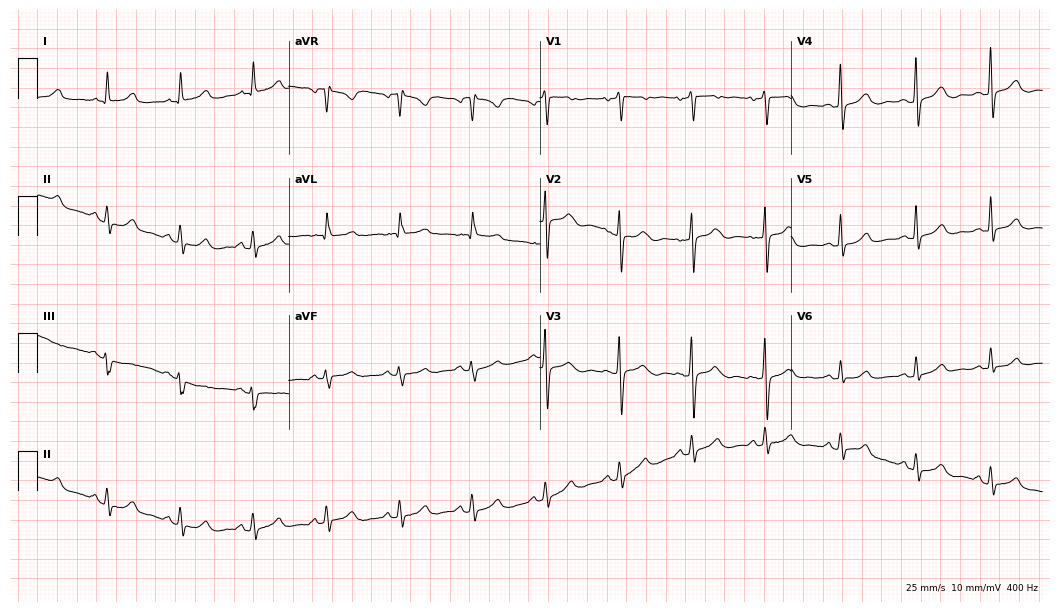
Electrocardiogram, a woman, 73 years old. Overall reading on record: normal ECG.